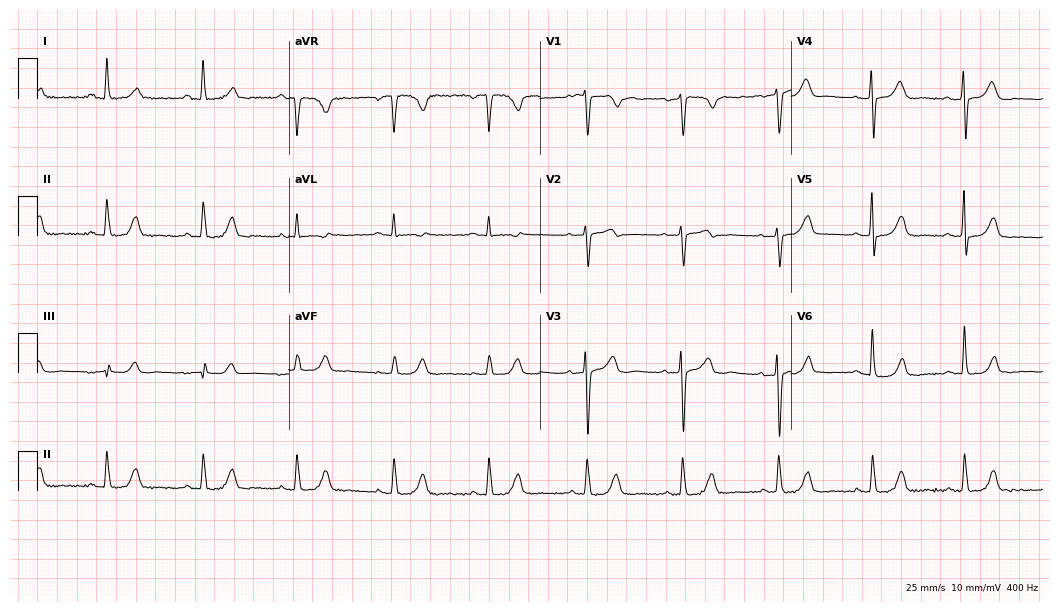
ECG (10.2-second recording at 400 Hz) — a female, 52 years old. Labelled as a normal ECG.